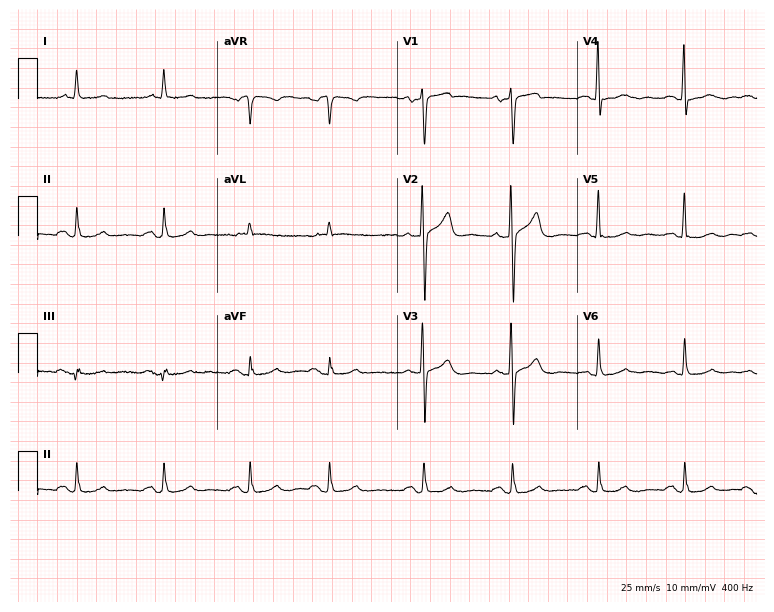
12-lead ECG from an 83-year-old man. Labelled as a normal ECG.